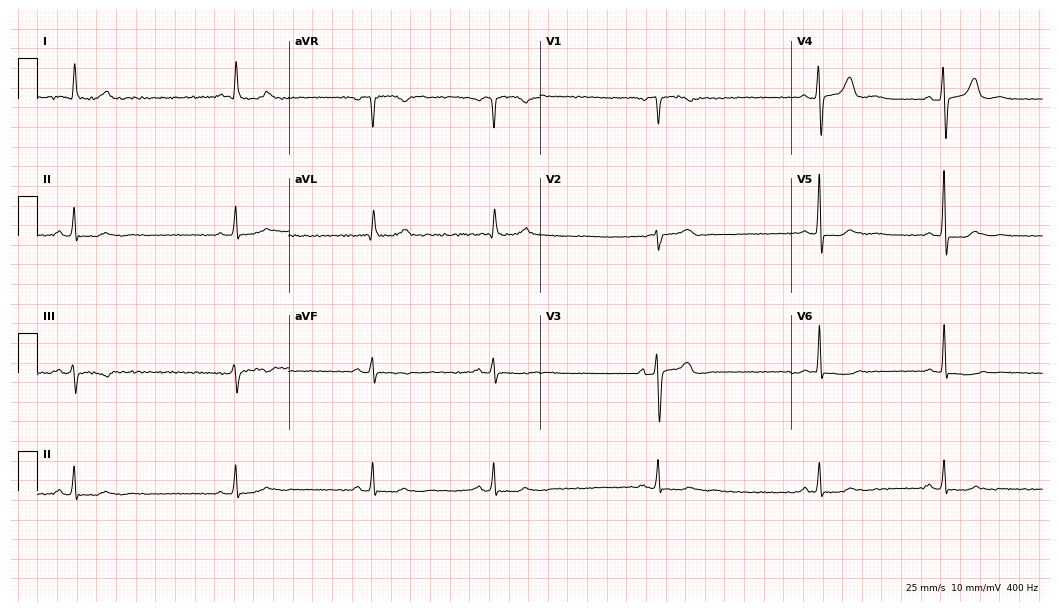
Electrocardiogram (10.2-second recording at 400 Hz), a 59-year-old female patient. Interpretation includes sinus bradycardia (a sinus rate of 50 beats per minute or less).